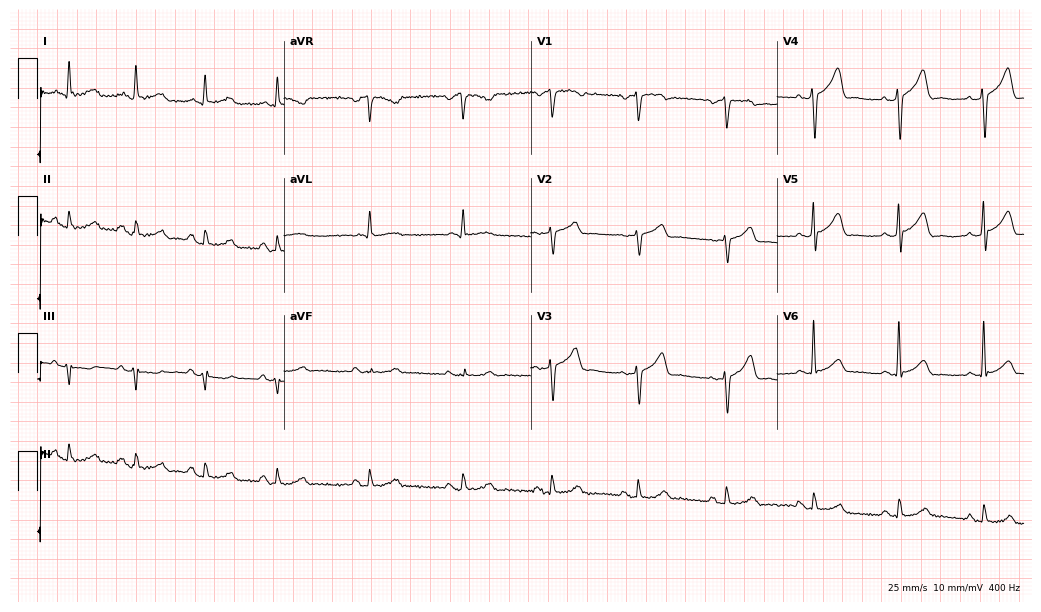
ECG — a man, 55 years old. Labelled as a normal ECG.